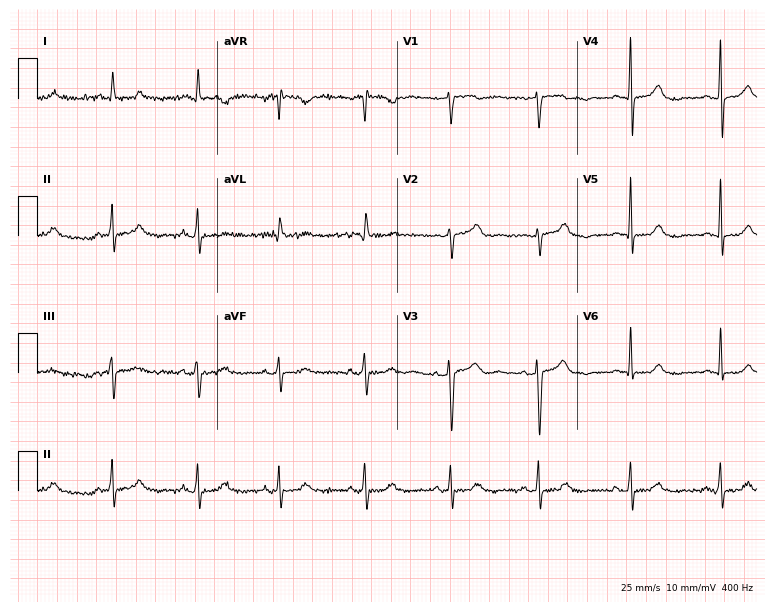
12-lead ECG from a 59-year-old female patient. Labelled as a normal ECG.